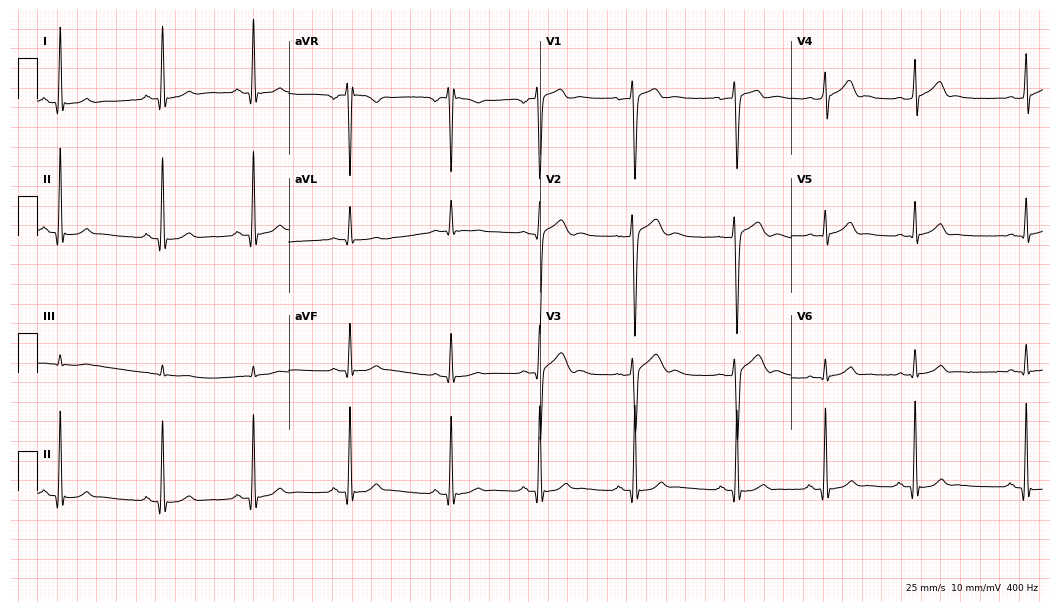
Electrocardiogram, a 17-year-old male. Overall reading on record: normal ECG.